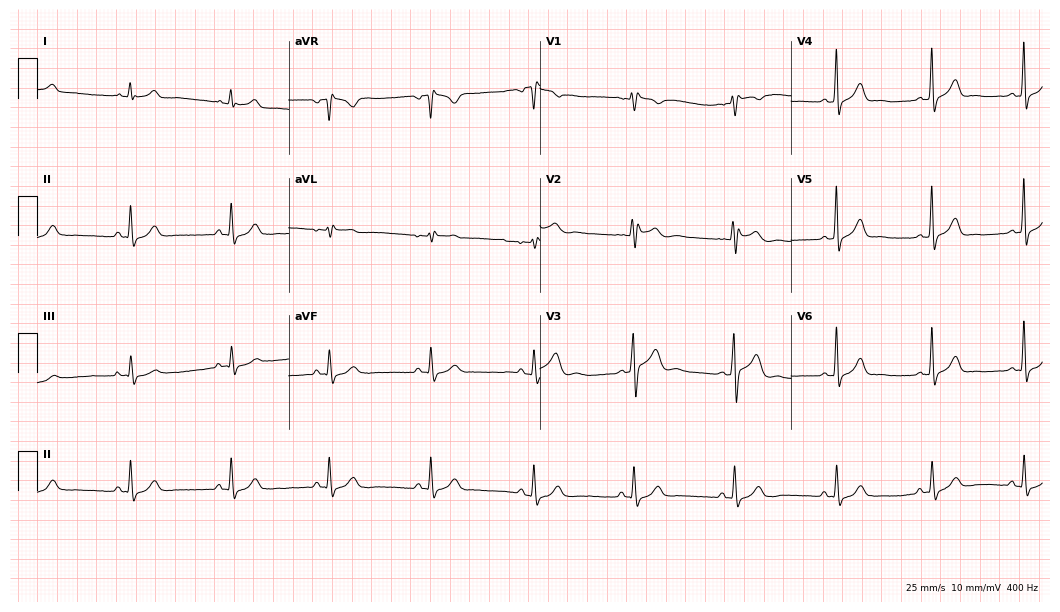
Electrocardiogram, a 30-year-old male. Of the six screened findings (first-degree AV block, right bundle branch block, left bundle branch block, sinus bradycardia, atrial fibrillation, sinus tachycardia), none is recorded. Other findings, if any, are not listed.